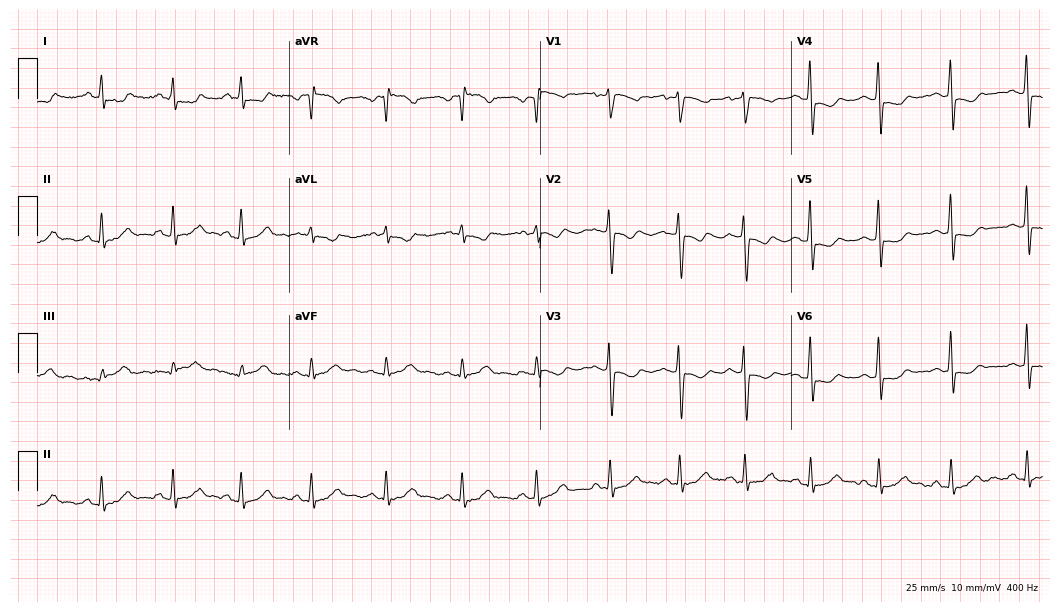
Electrocardiogram, a woman, 51 years old. Of the six screened findings (first-degree AV block, right bundle branch block, left bundle branch block, sinus bradycardia, atrial fibrillation, sinus tachycardia), none is recorded.